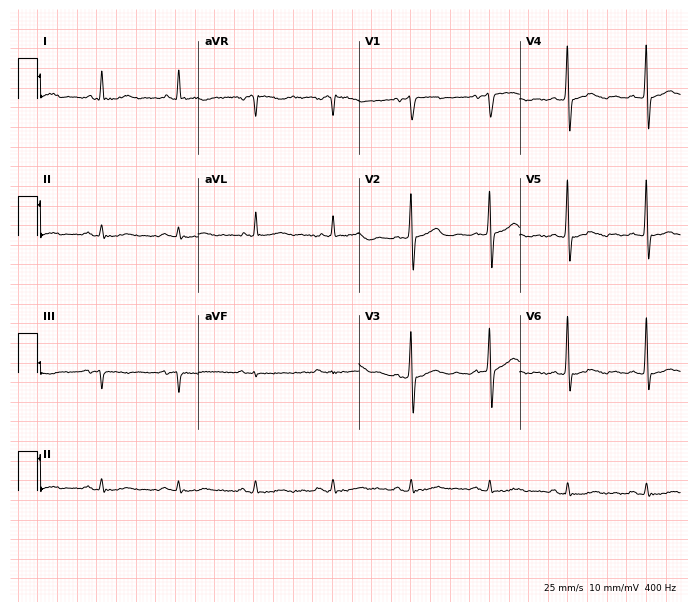
12-lead ECG (6.6-second recording at 400 Hz) from a male patient, 75 years old. Labelled as a normal ECG.